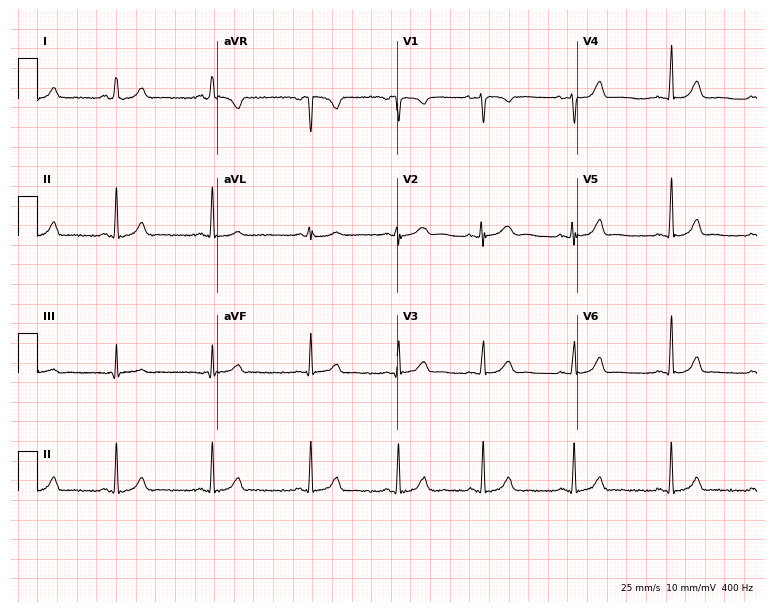
12-lead ECG from a 27-year-old female patient. Recorded interpretation: within normal limits.